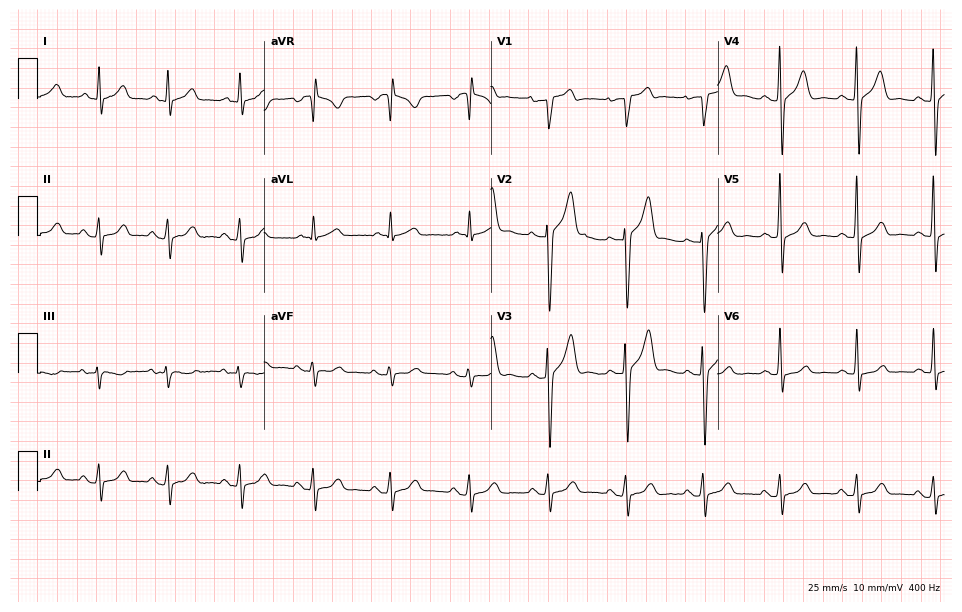
ECG (9.2-second recording at 400 Hz) — a male patient, 48 years old. Labelled as a normal ECG.